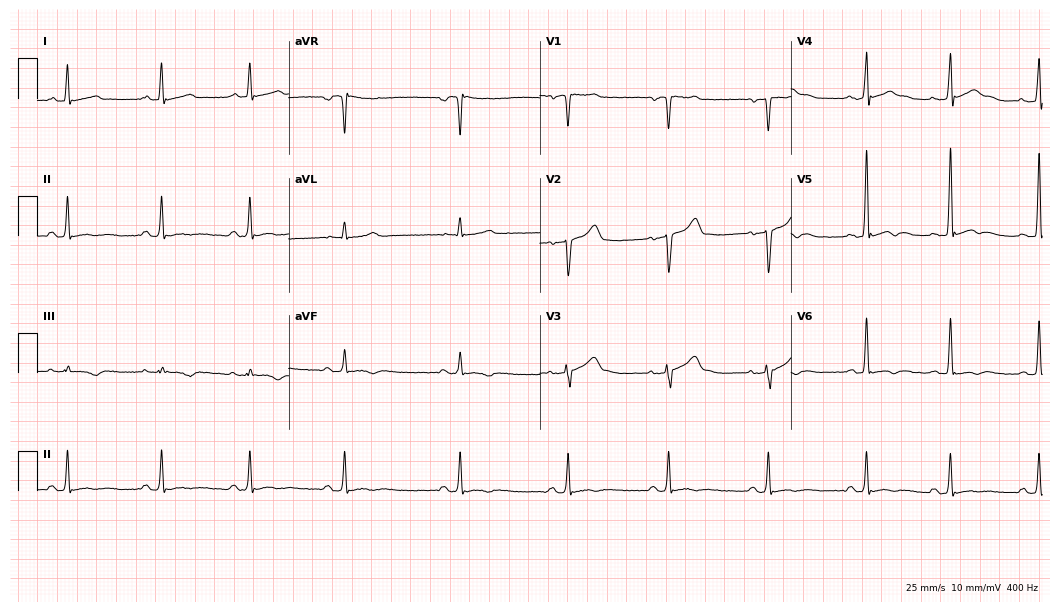
12-lead ECG from a male patient, 33 years old. Screened for six findings — first-degree AV block, right bundle branch block, left bundle branch block, sinus bradycardia, atrial fibrillation, sinus tachycardia — none is recorded. Only these six findings were labelled.